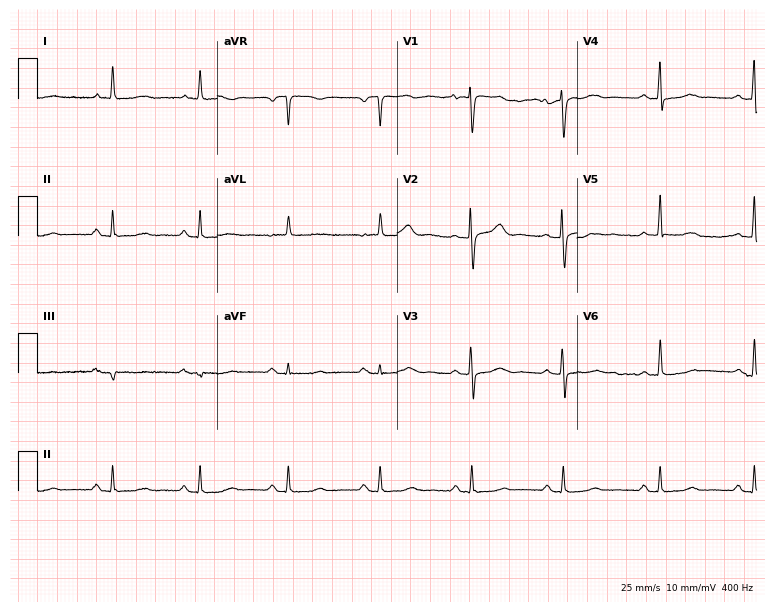
12-lead ECG from a woman, 51 years old. No first-degree AV block, right bundle branch block, left bundle branch block, sinus bradycardia, atrial fibrillation or sinus tachycardia recorded for this tracing.